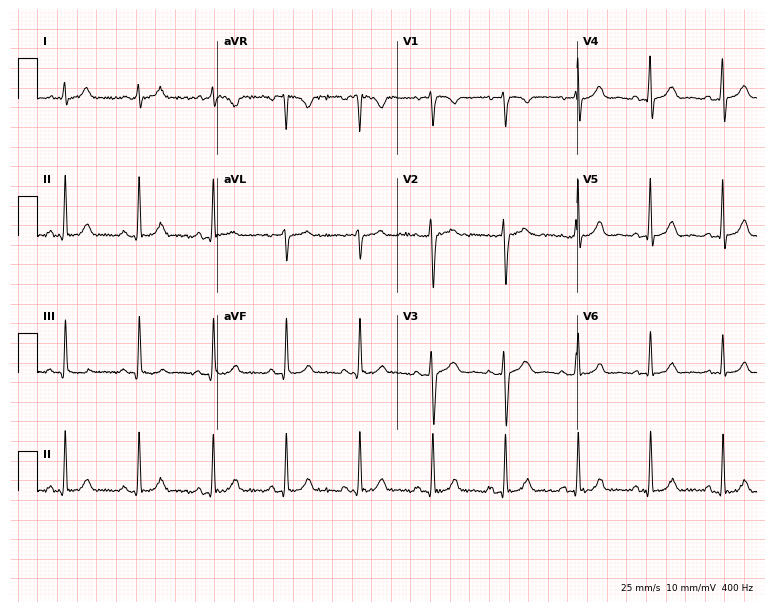
12-lead ECG from a 38-year-old woman. Screened for six findings — first-degree AV block, right bundle branch block (RBBB), left bundle branch block (LBBB), sinus bradycardia, atrial fibrillation (AF), sinus tachycardia — none is recorded. Other findings, if any, are not listed.